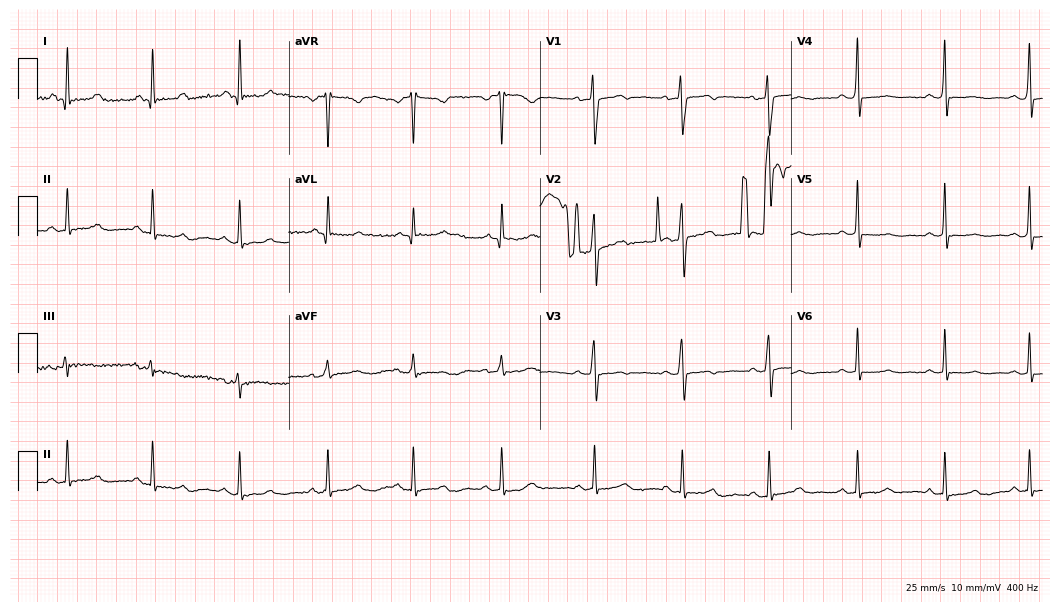
12-lead ECG (10.2-second recording at 400 Hz) from a 47-year-old woman. Labelled as a normal ECG.